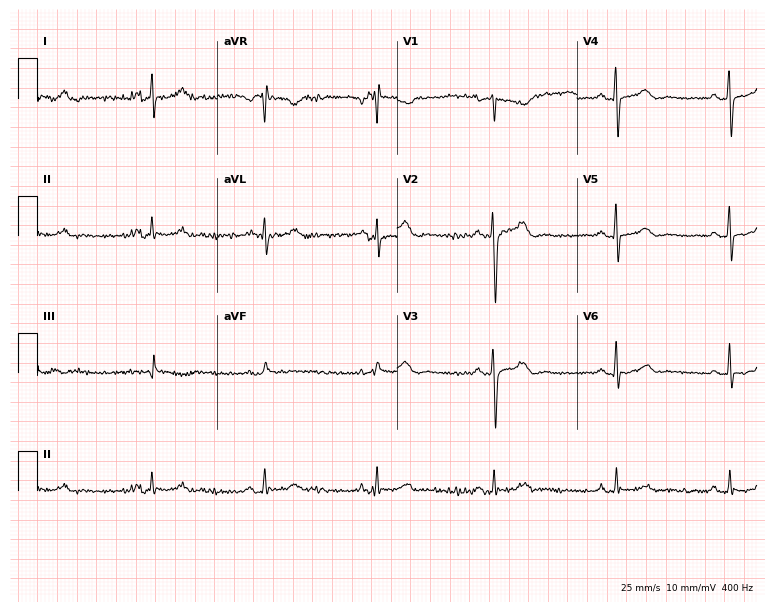
12-lead ECG from a male, 51 years old. Screened for six findings — first-degree AV block, right bundle branch block, left bundle branch block, sinus bradycardia, atrial fibrillation, sinus tachycardia — none is recorded. Only these six findings were labelled.